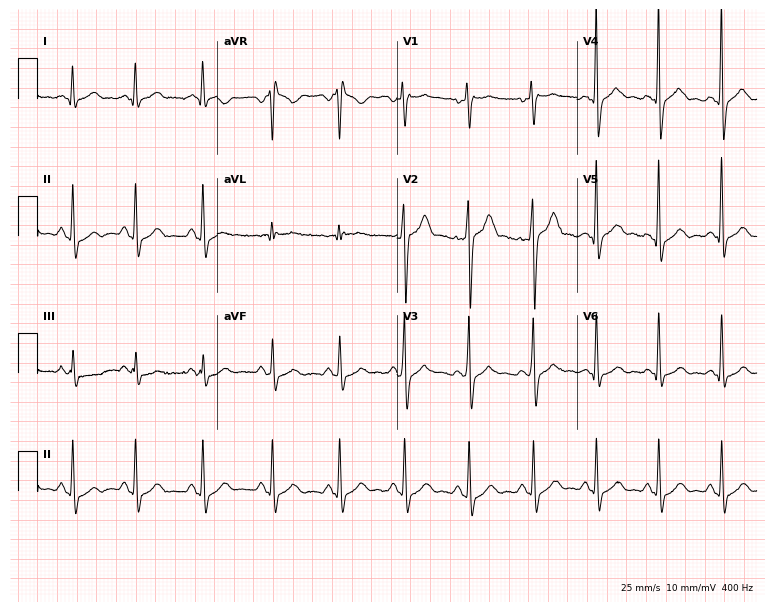
ECG (7.3-second recording at 400 Hz) — a 27-year-old man. Screened for six findings — first-degree AV block, right bundle branch block, left bundle branch block, sinus bradycardia, atrial fibrillation, sinus tachycardia — none is recorded.